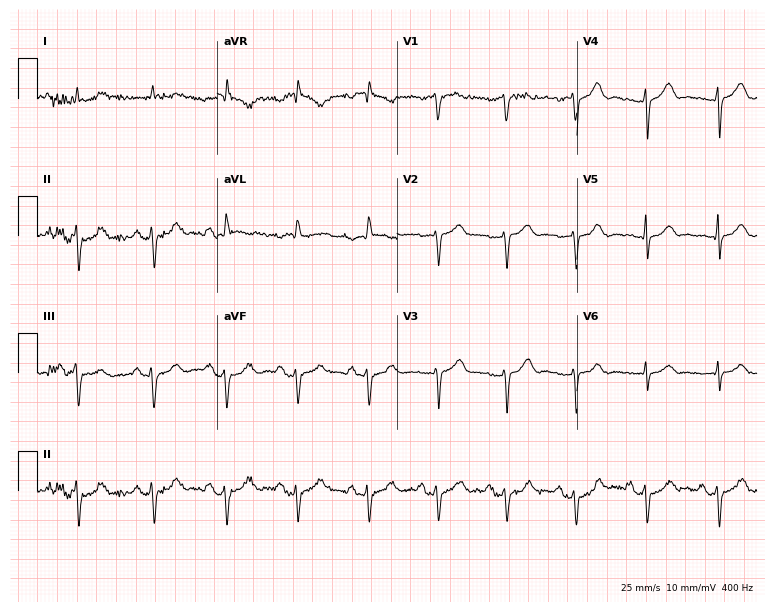
Standard 12-lead ECG recorded from a 78-year-old man (7.3-second recording at 400 Hz). None of these six findings is recorded: first-degree AV block, right bundle branch block, left bundle branch block, sinus bradycardia, atrial fibrillation, sinus tachycardia.